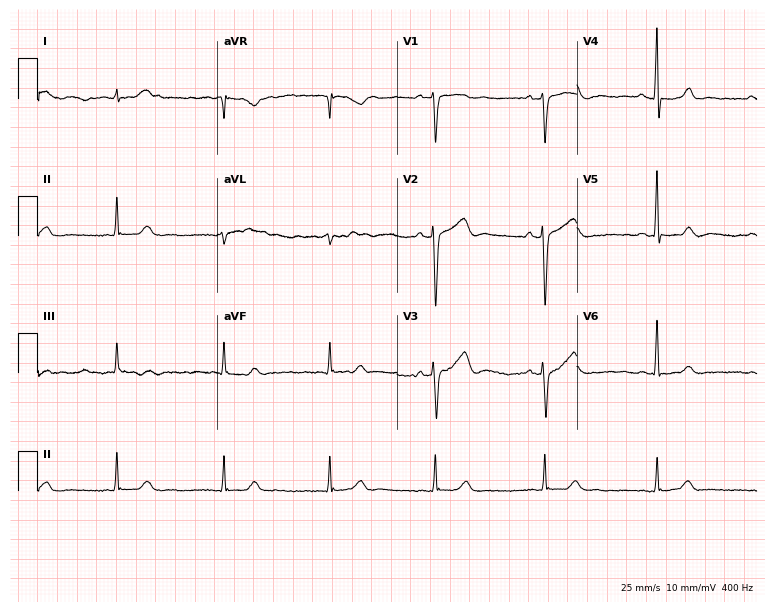
Standard 12-lead ECG recorded from a woman, 60 years old. None of these six findings is recorded: first-degree AV block, right bundle branch block, left bundle branch block, sinus bradycardia, atrial fibrillation, sinus tachycardia. Other findings, if any, are not listed.